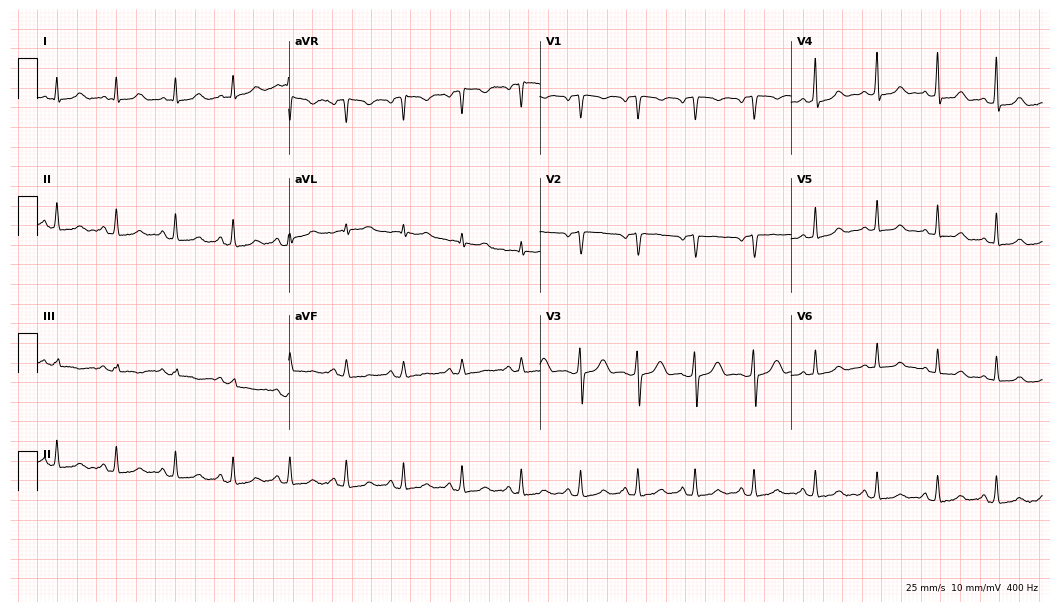
Electrocardiogram, a 32-year-old female patient. Overall reading on record: normal ECG.